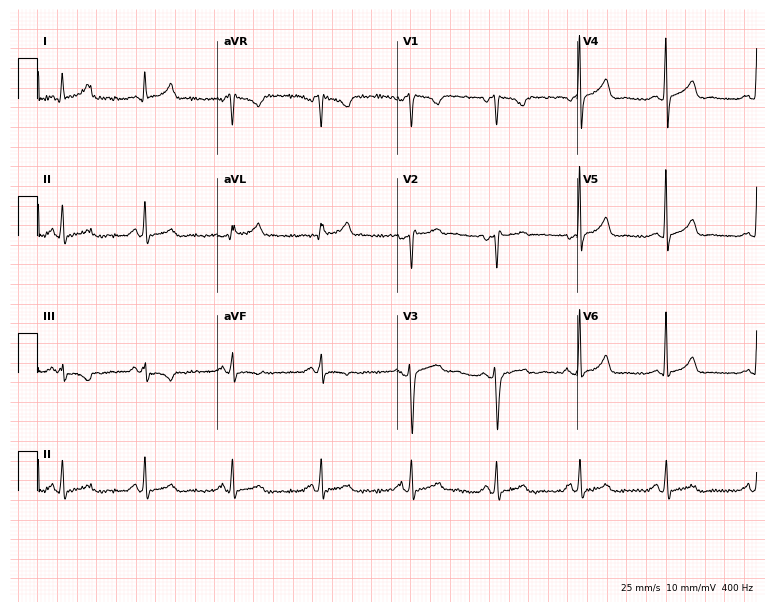
Standard 12-lead ECG recorded from a 43-year-old woman (7.3-second recording at 400 Hz). None of these six findings is recorded: first-degree AV block, right bundle branch block, left bundle branch block, sinus bradycardia, atrial fibrillation, sinus tachycardia. Other findings, if any, are not listed.